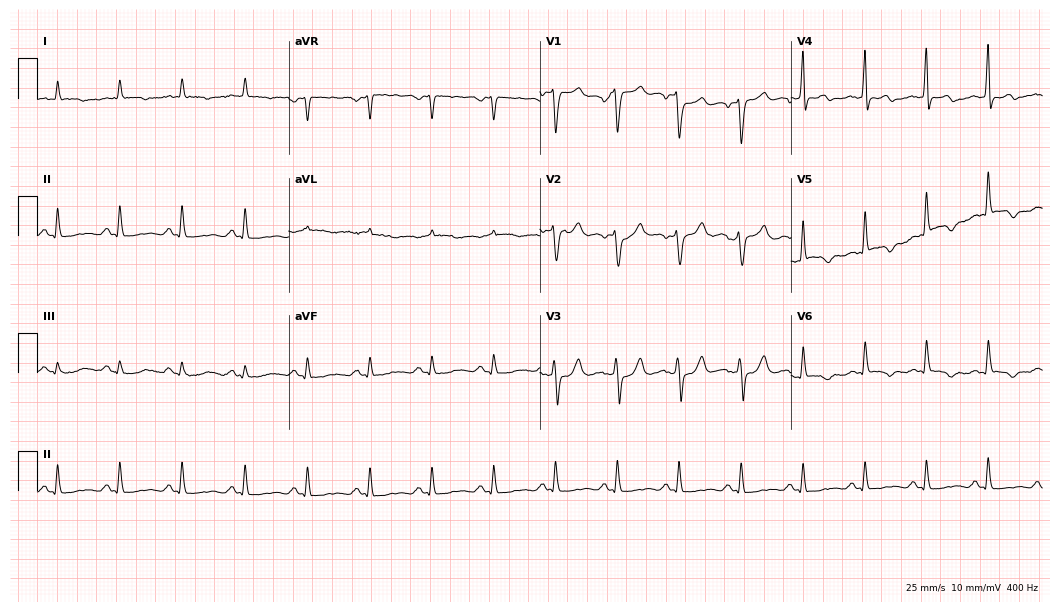
12-lead ECG from a 71-year-old male patient (10.2-second recording at 400 Hz). No first-degree AV block, right bundle branch block, left bundle branch block, sinus bradycardia, atrial fibrillation or sinus tachycardia recorded for this tracing.